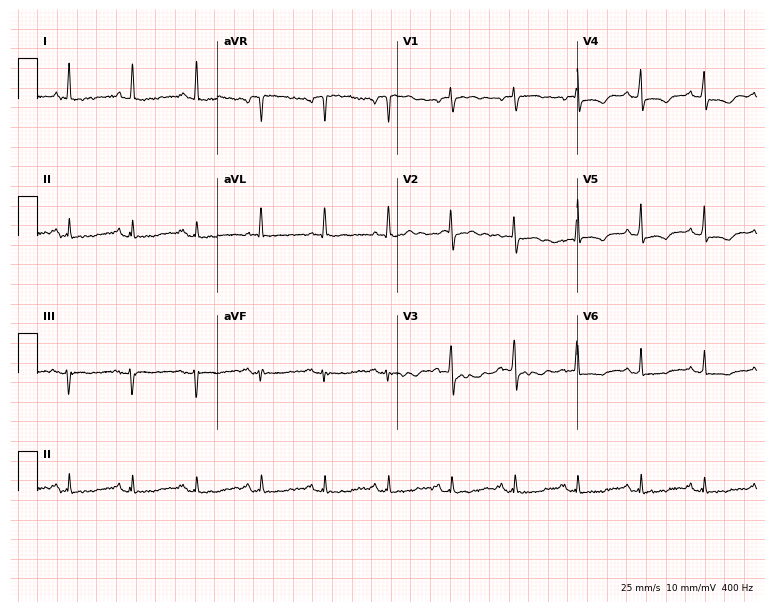
Electrocardiogram (7.3-second recording at 400 Hz), a woman, 82 years old. Of the six screened findings (first-degree AV block, right bundle branch block (RBBB), left bundle branch block (LBBB), sinus bradycardia, atrial fibrillation (AF), sinus tachycardia), none is recorded.